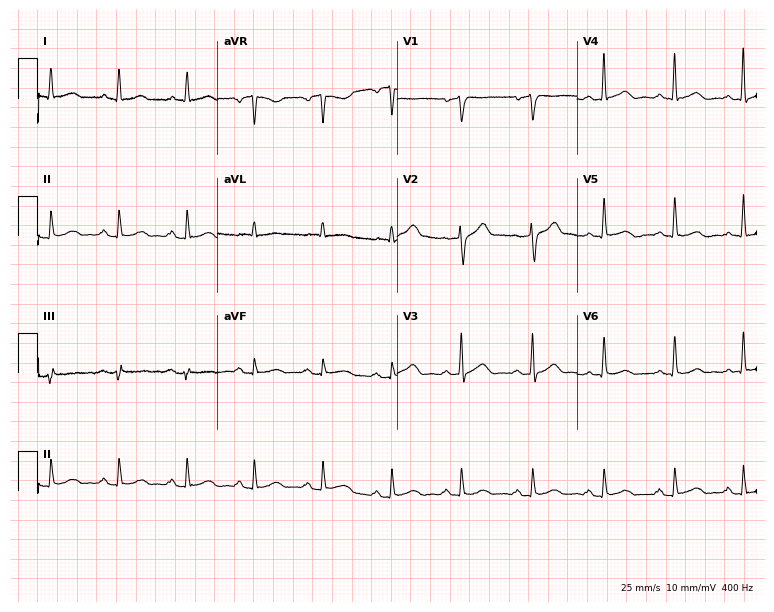
12-lead ECG from a 47-year-old male patient. Recorded interpretation: within normal limits.